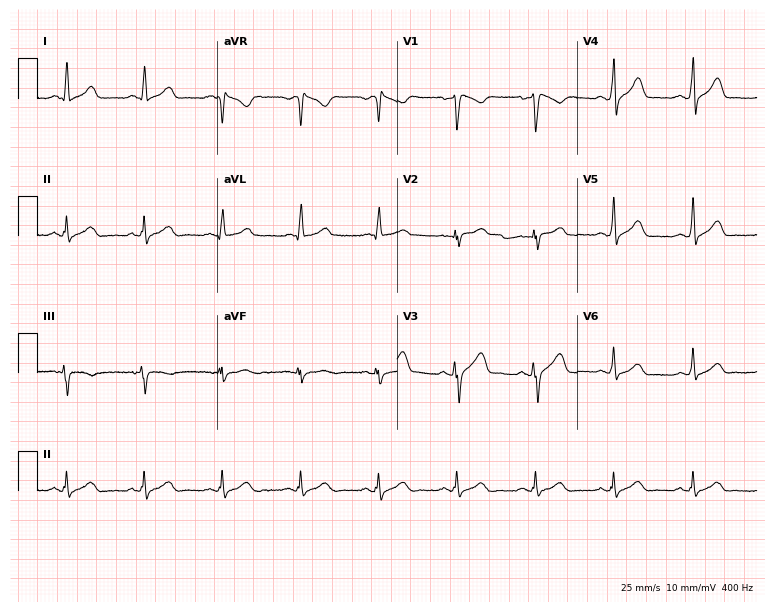
12-lead ECG from a male patient, 27 years old. No first-degree AV block, right bundle branch block, left bundle branch block, sinus bradycardia, atrial fibrillation or sinus tachycardia recorded for this tracing.